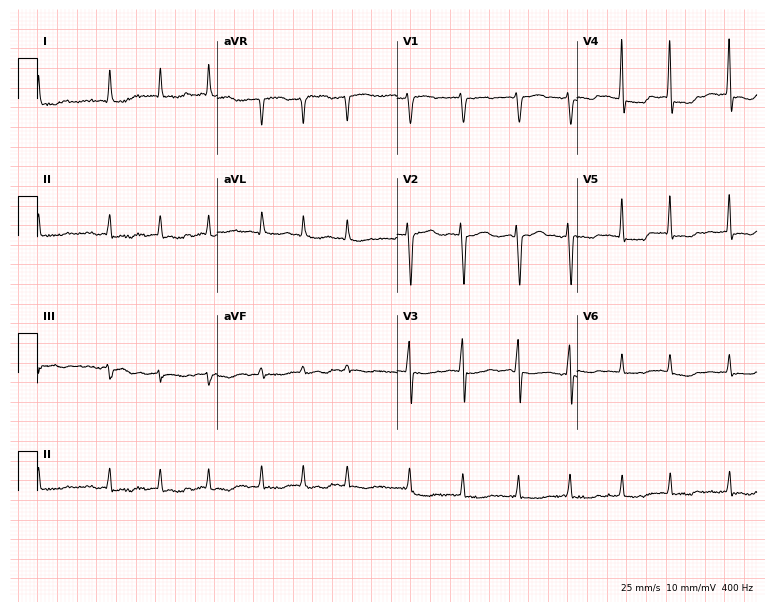
Resting 12-lead electrocardiogram. Patient: a 71-year-old woman. The tracing shows atrial fibrillation.